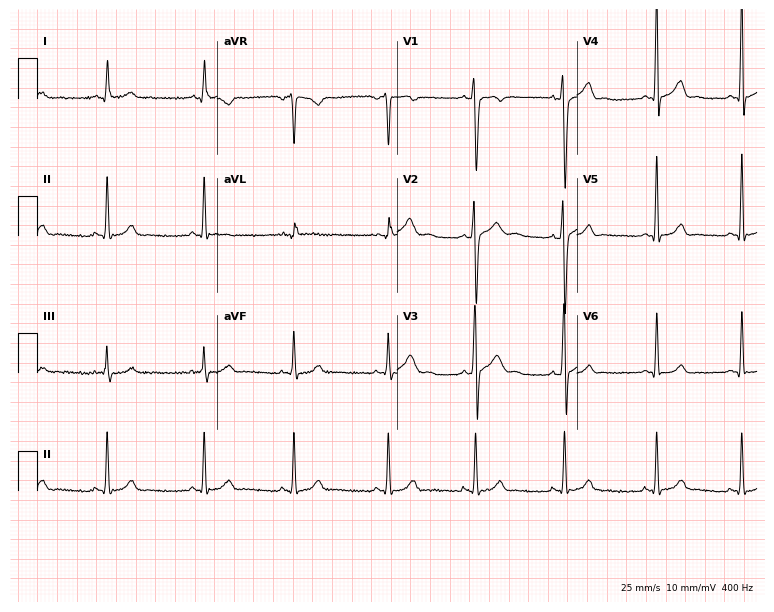
ECG (7.3-second recording at 400 Hz) — a 23-year-old male. Labelled as a normal ECG.